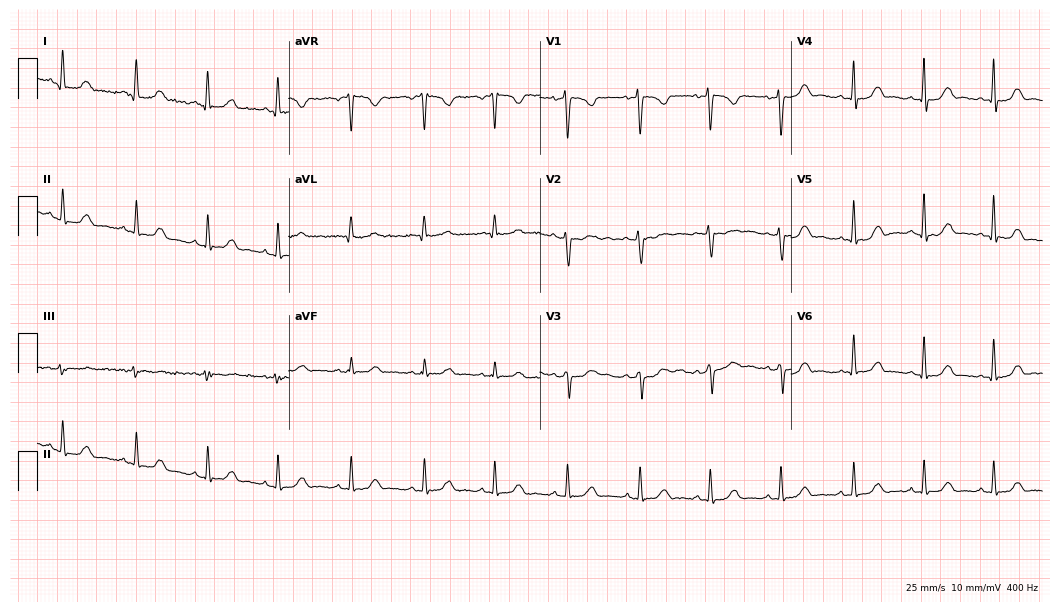
Standard 12-lead ECG recorded from a woman, 44 years old. Read as a normal ECG.